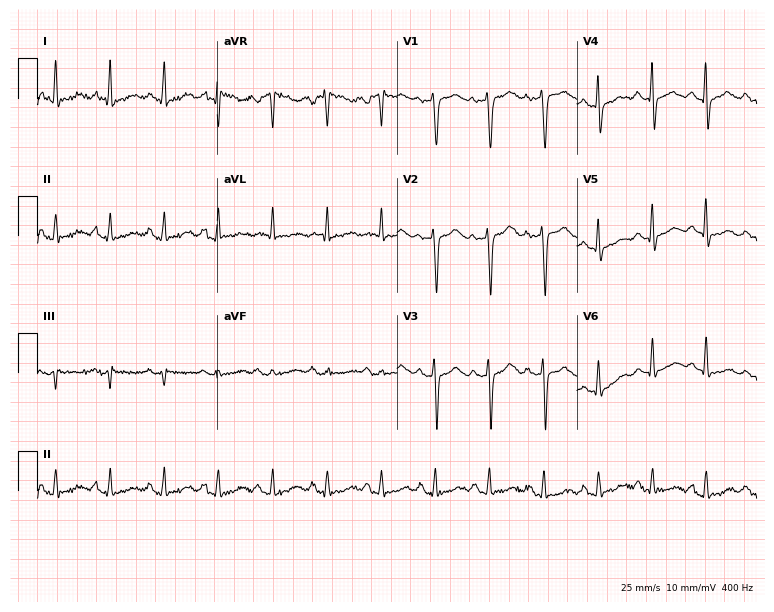
Electrocardiogram, a 62-year-old female. Interpretation includes sinus tachycardia (a sinus rate of 100 beats per minute or more).